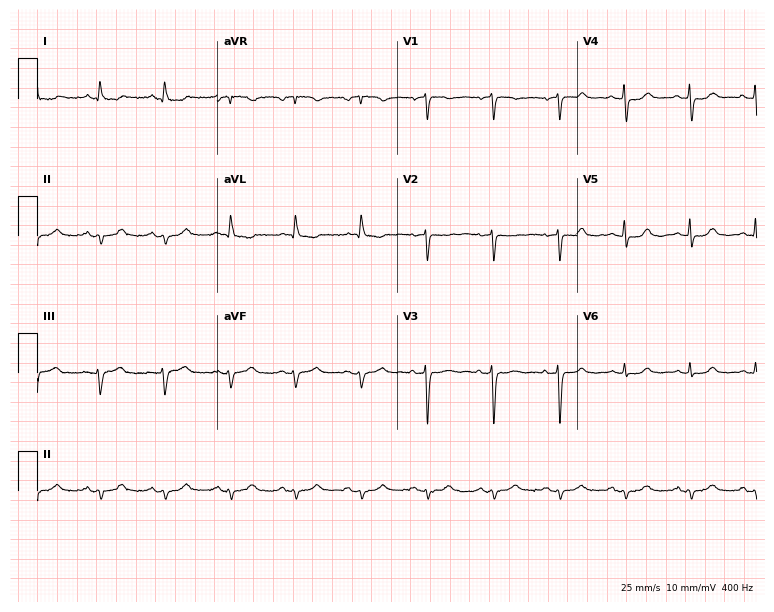
12-lead ECG from a 65-year-old female. No first-degree AV block, right bundle branch block (RBBB), left bundle branch block (LBBB), sinus bradycardia, atrial fibrillation (AF) or sinus tachycardia recorded for this tracing.